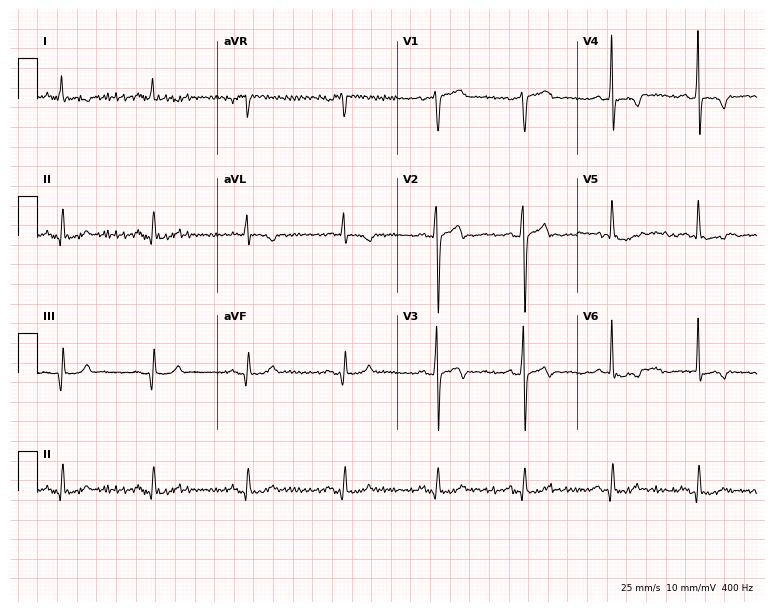
Electrocardiogram, a 59-year-old man. Of the six screened findings (first-degree AV block, right bundle branch block, left bundle branch block, sinus bradycardia, atrial fibrillation, sinus tachycardia), none is recorded. Only these six findings were labelled.